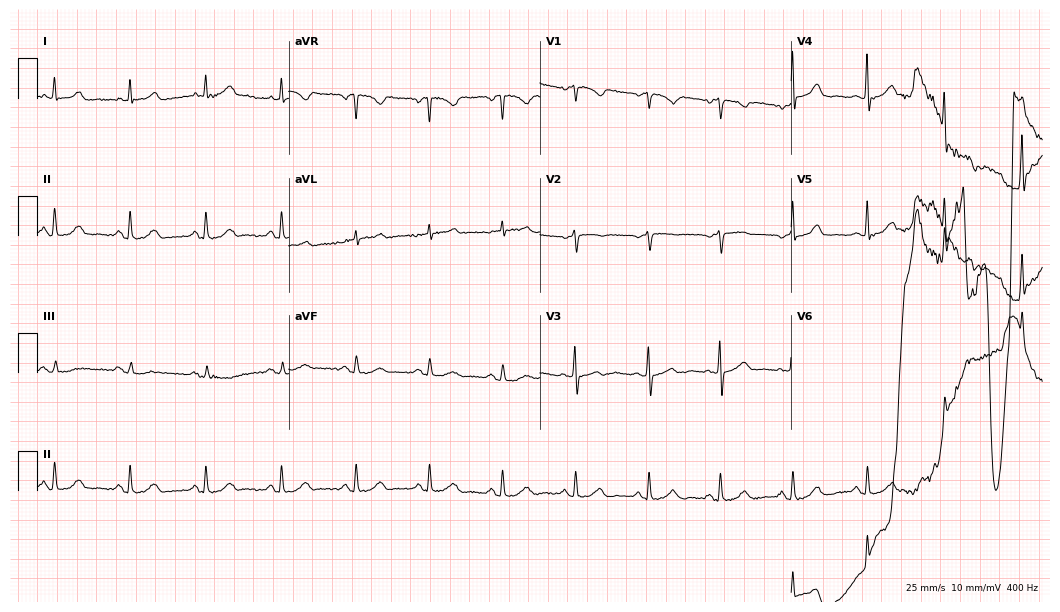
Electrocardiogram, a 78-year-old female. Overall reading on record: normal ECG.